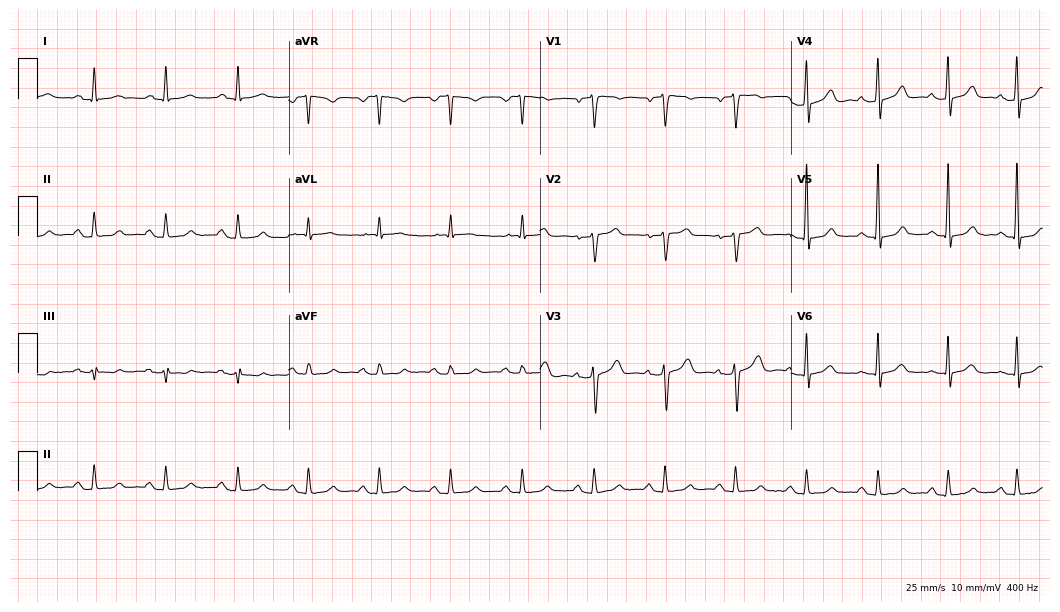
Resting 12-lead electrocardiogram (10.2-second recording at 400 Hz). Patient: a 55-year-old male. Read as a normal ECG.